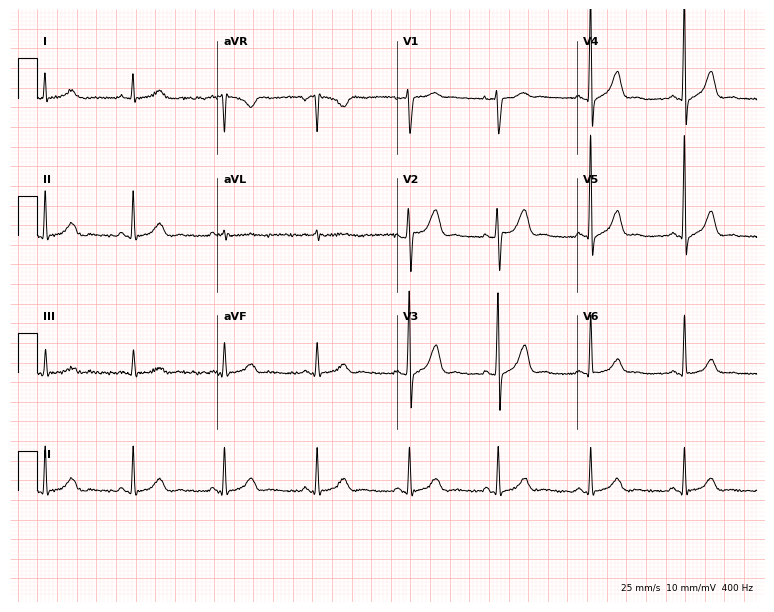
12-lead ECG (7.3-second recording at 400 Hz) from a 37-year-old female. Screened for six findings — first-degree AV block, right bundle branch block, left bundle branch block, sinus bradycardia, atrial fibrillation, sinus tachycardia — none is recorded.